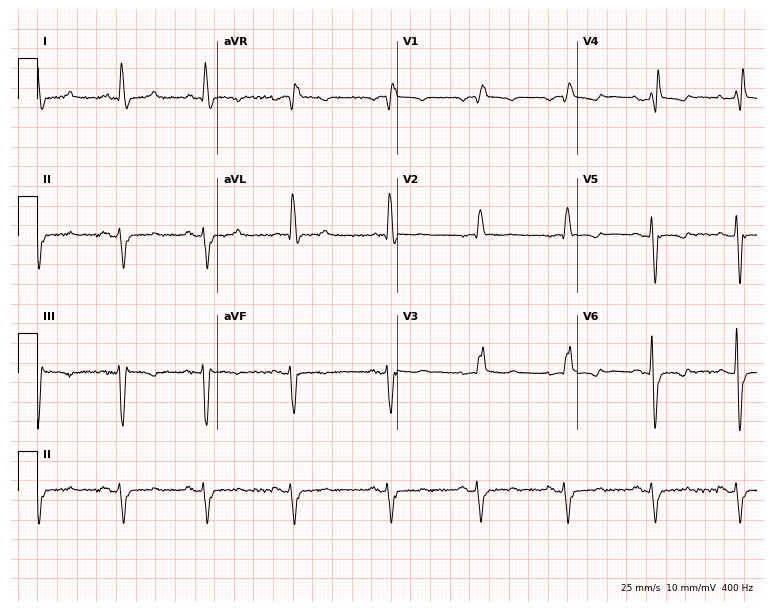
Electrocardiogram (7.3-second recording at 400 Hz), a 77-year-old woman. Interpretation includes right bundle branch block (RBBB).